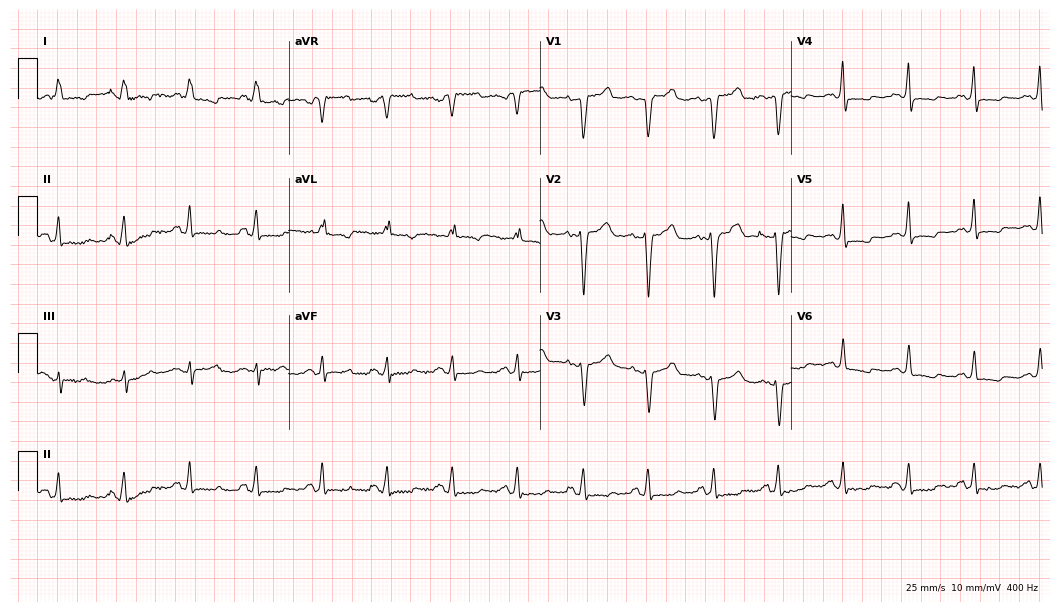
12-lead ECG from an 81-year-old female. No first-degree AV block, right bundle branch block, left bundle branch block, sinus bradycardia, atrial fibrillation or sinus tachycardia recorded for this tracing.